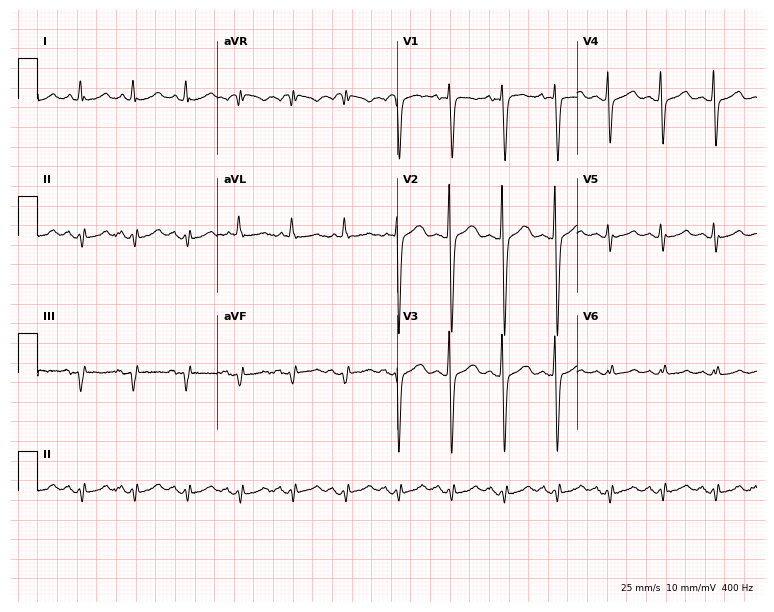
12-lead ECG (7.3-second recording at 400 Hz) from a 73-year-old woman. Findings include sinus tachycardia (a sinus rate of 100 beats per minute or more).